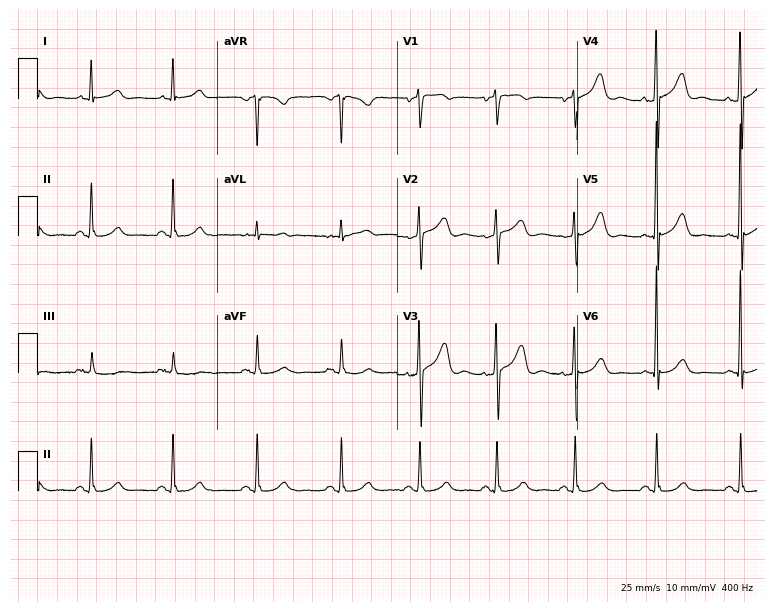
Electrocardiogram (7.3-second recording at 400 Hz), a 62-year-old female. Overall reading on record: normal ECG.